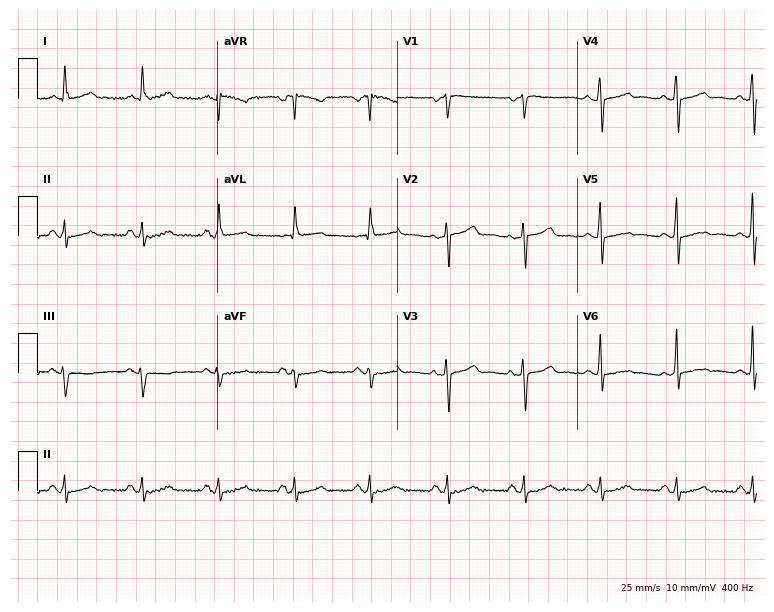
Electrocardiogram (7.3-second recording at 400 Hz), a female patient, 65 years old. Overall reading on record: normal ECG.